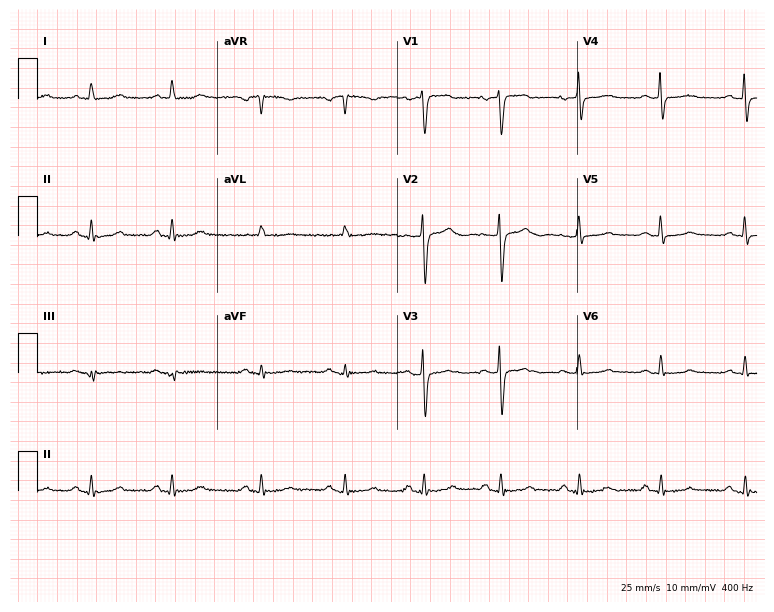
Resting 12-lead electrocardiogram (7.3-second recording at 400 Hz). Patient: a female, 67 years old. Read as a normal ECG.